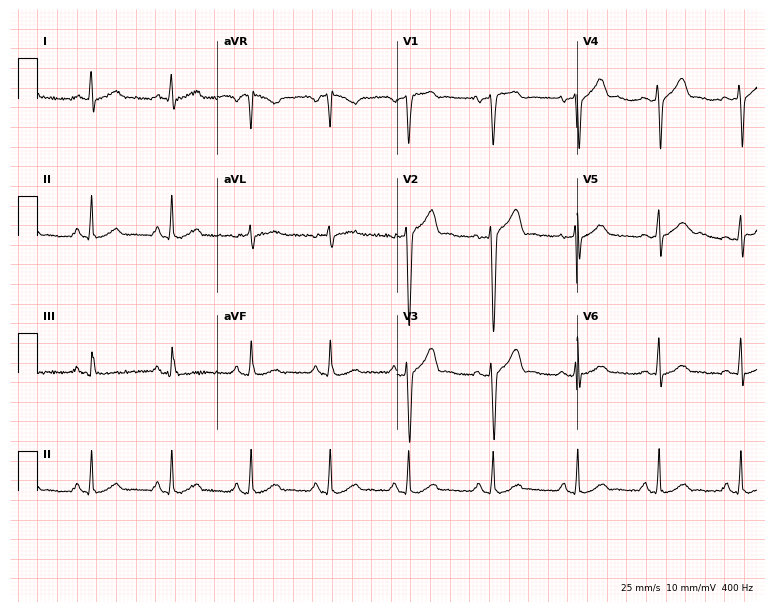
Electrocardiogram, a male, 36 years old. Overall reading on record: normal ECG.